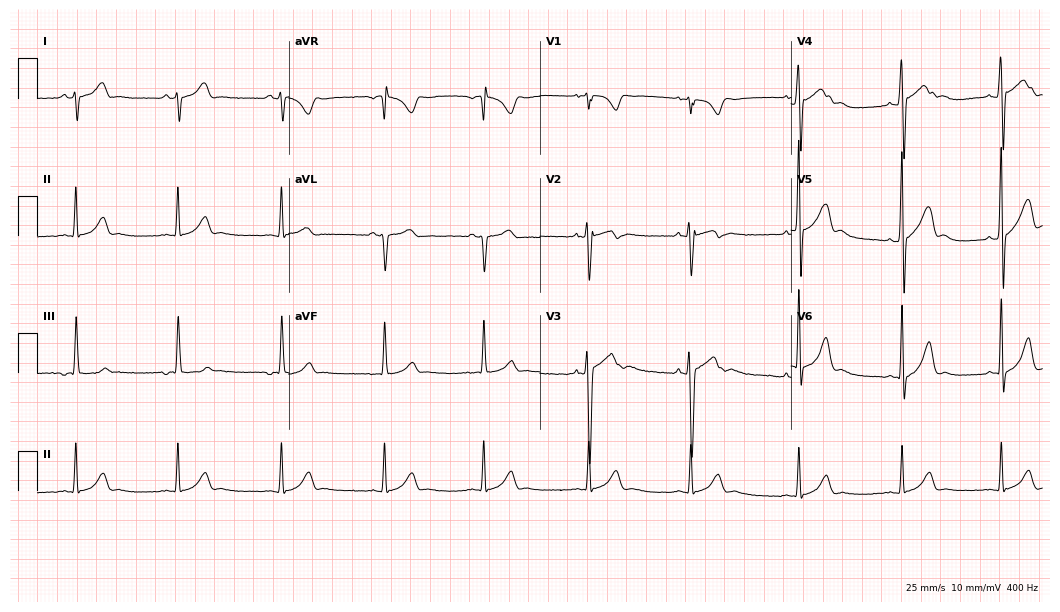
12-lead ECG (10.2-second recording at 400 Hz) from a male patient, 17 years old. Screened for six findings — first-degree AV block, right bundle branch block (RBBB), left bundle branch block (LBBB), sinus bradycardia, atrial fibrillation (AF), sinus tachycardia — none is recorded. Other findings, if any, are not listed.